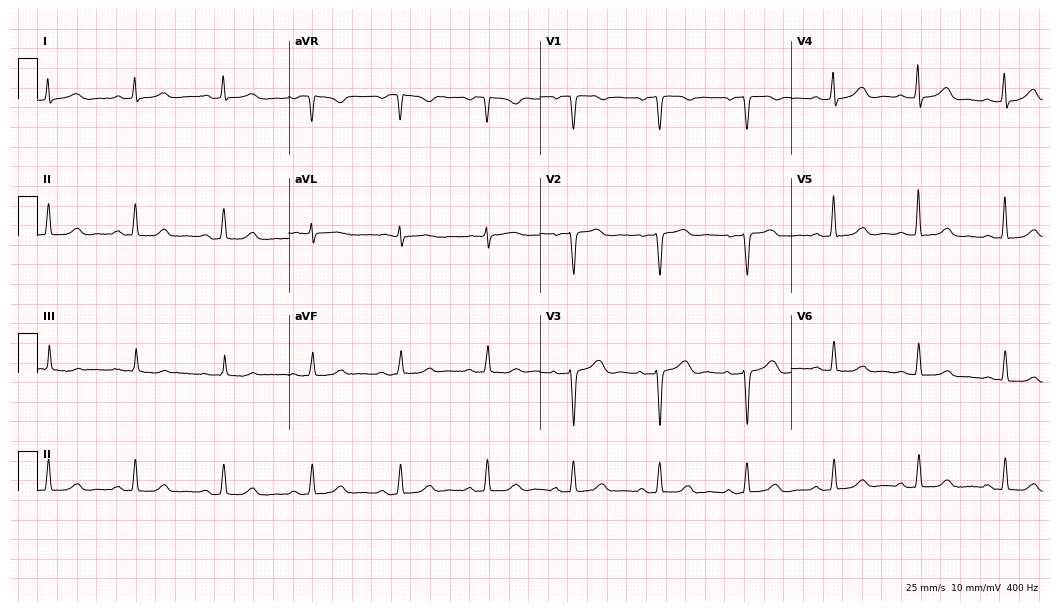
Standard 12-lead ECG recorded from a female, 63 years old (10.2-second recording at 400 Hz). None of these six findings is recorded: first-degree AV block, right bundle branch block, left bundle branch block, sinus bradycardia, atrial fibrillation, sinus tachycardia.